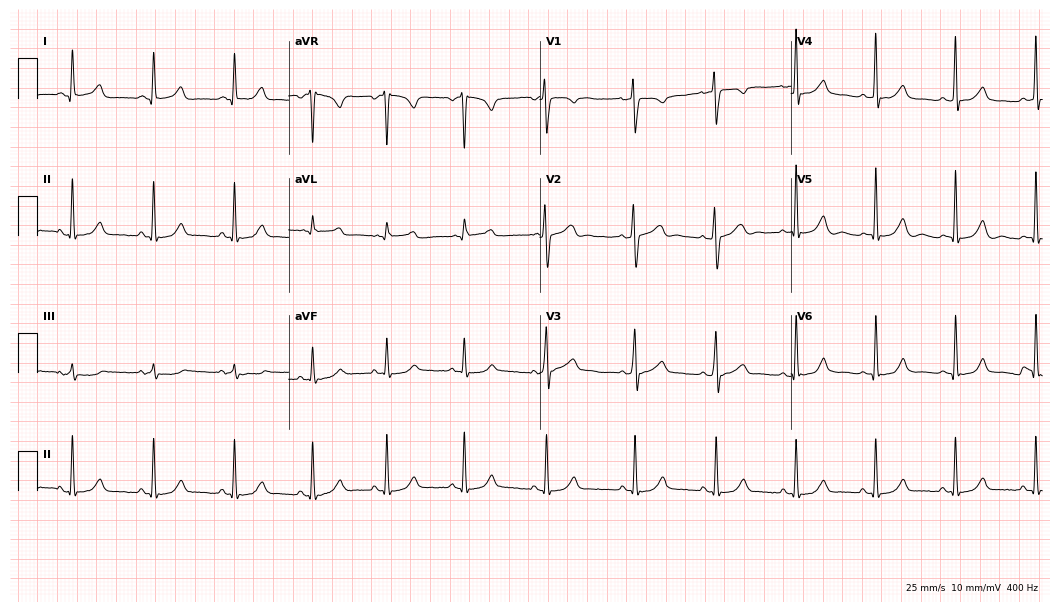
Standard 12-lead ECG recorded from a 24-year-old female. Read as a normal ECG.